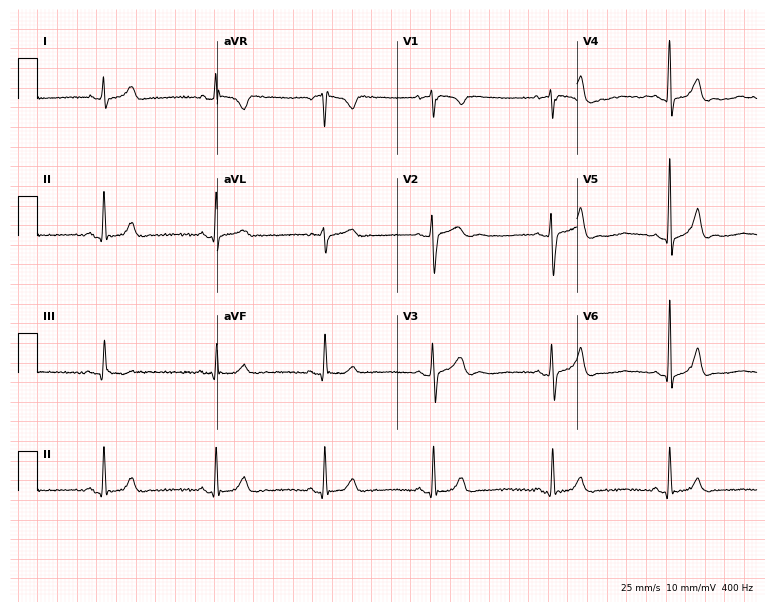
12-lead ECG (7.3-second recording at 400 Hz) from a 28-year-old male. Labelled as a normal ECG.